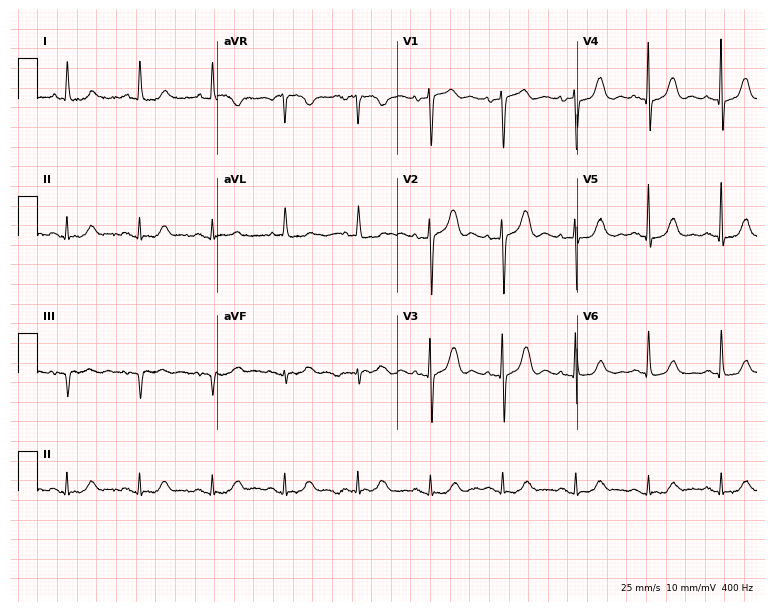
Electrocardiogram (7.3-second recording at 400 Hz), an 83-year-old female patient. Of the six screened findings (first-degree AV block, right bundle branch block, left bundle branch block, sinus bradycardia, atrial fibrillation, sinus tachycardia), none is recorded.